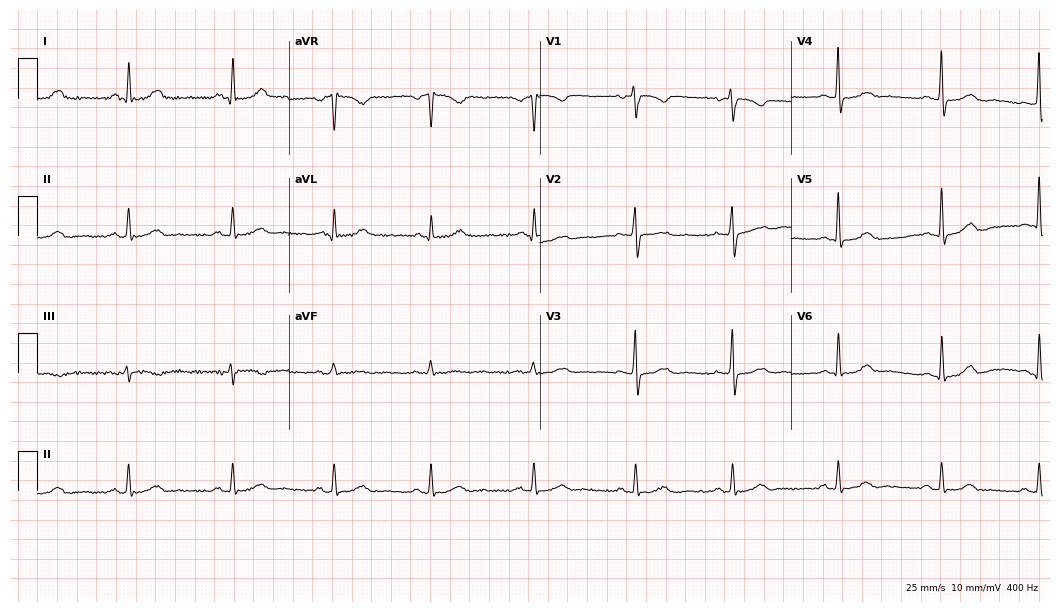
Electrocardiogram (10.2-second recording at 400 Hz), a 52-year-old female patient. Overall reading on record: normal ECG.